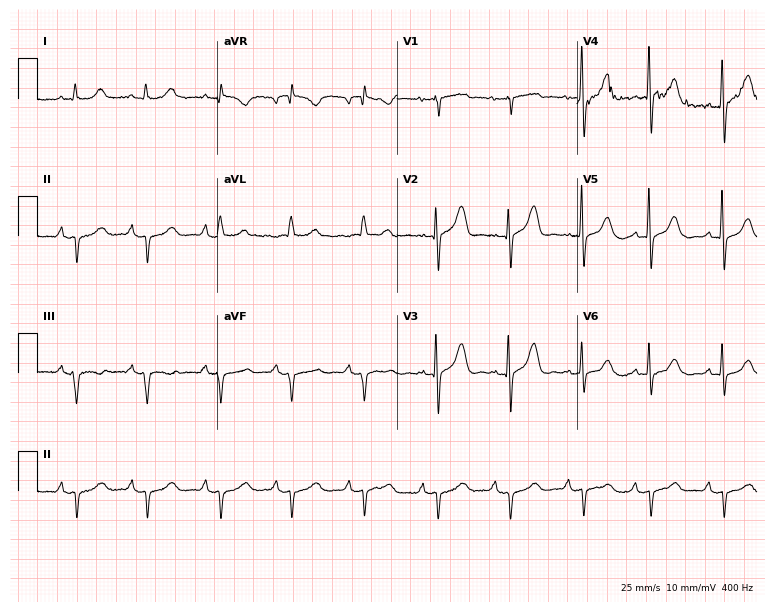
12-lead ECG (7.3-second recording at 400 Hz) from an 80-year-old woman. Screened for six findings — first-degree AV block, right bundle branch block, left bundle branch block, sinus bradycardia, atrial fibrillation, sinus tachycardia — none is recorded.